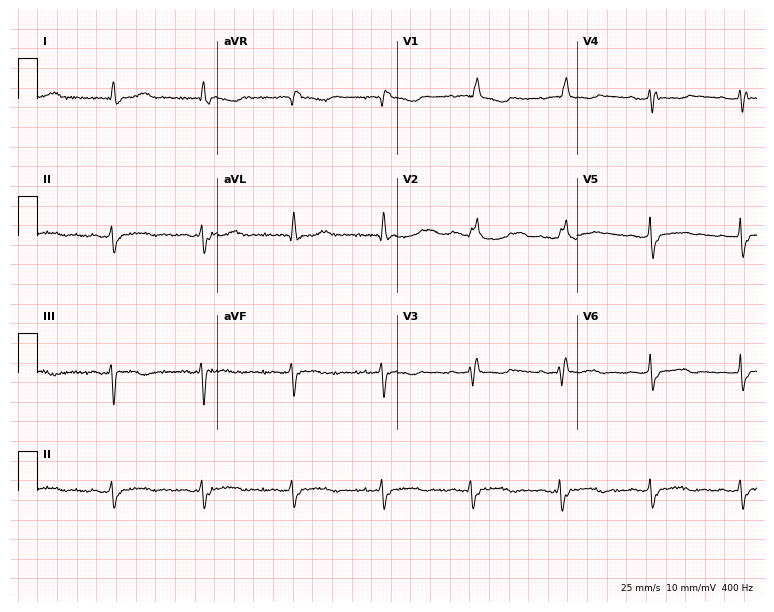
12-lead ECG (7.3-second recording at 400 Hz) from a 64-year-old female patient. Findings include right bundle branch block.